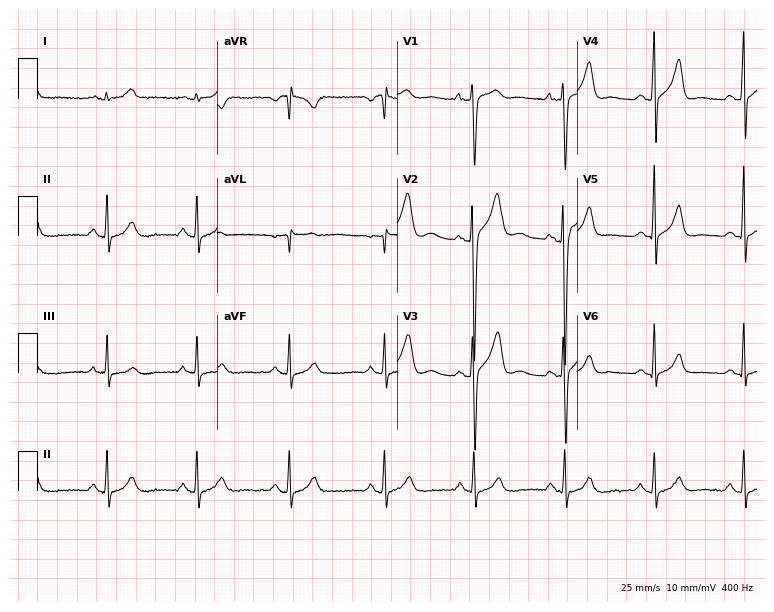
Electrocardiogram, a male, 18 years old. Of the six screened findings (first-degree AV block, right bundle branch block, left bundle branch block, sinus bradycardia, atrial fibrillation, sinus tachycardia), none is recorded. Other findings, if any, are not listed.